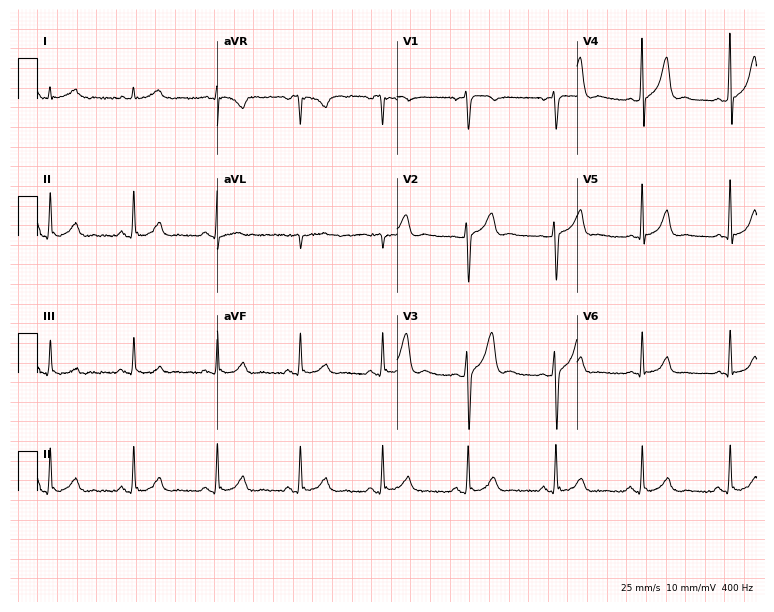
ECG (7.3-second recording at 400 Hz) — a 48-year-old male patient. Screened for six findings — first-degree AV block, right bundle branch block, left bundle branch block, sinus bradycardia, atrial fibrillation, sinus tachycardia — none is recorded.